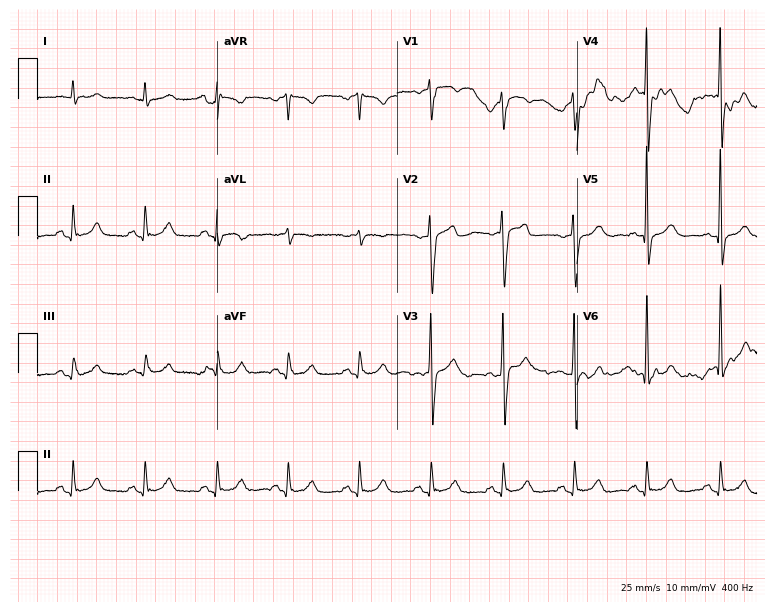
ECG — a male patient, 71 years old. Labelled as a normal ECG.